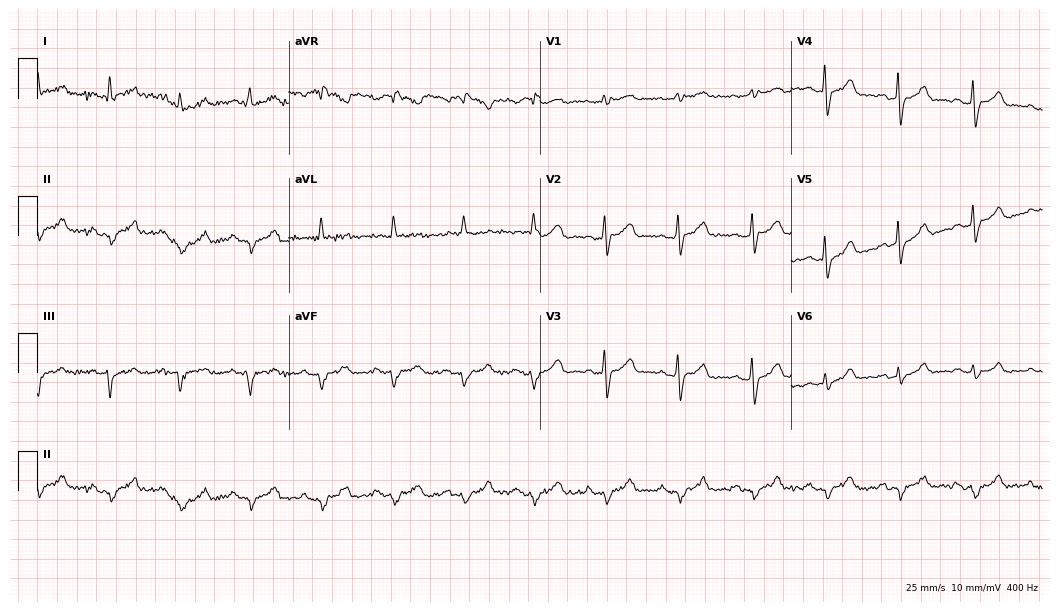
ECG — a male, 68 years old. Screened for six findings — first-degree AV block, right bundle branch block, left bundle branch block, sinus bradycardia, atrial fibrillation, sinus tachycardia — none is recorded. Only these six findings were labelled.